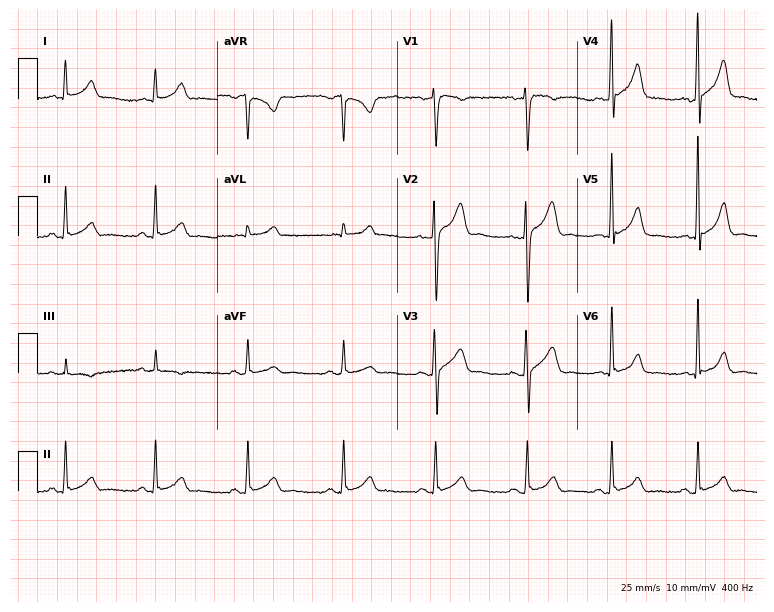
ECG (7.3-second recording at 400 Hz) — a male, 42 years old. Screened for six findings — first-degree AV block, right bundle branch block, left bundle branch block, sinus bradycardia, atrial fibrillation, sinus tachycardia — none is recorded. Findings outside these six are not listed.